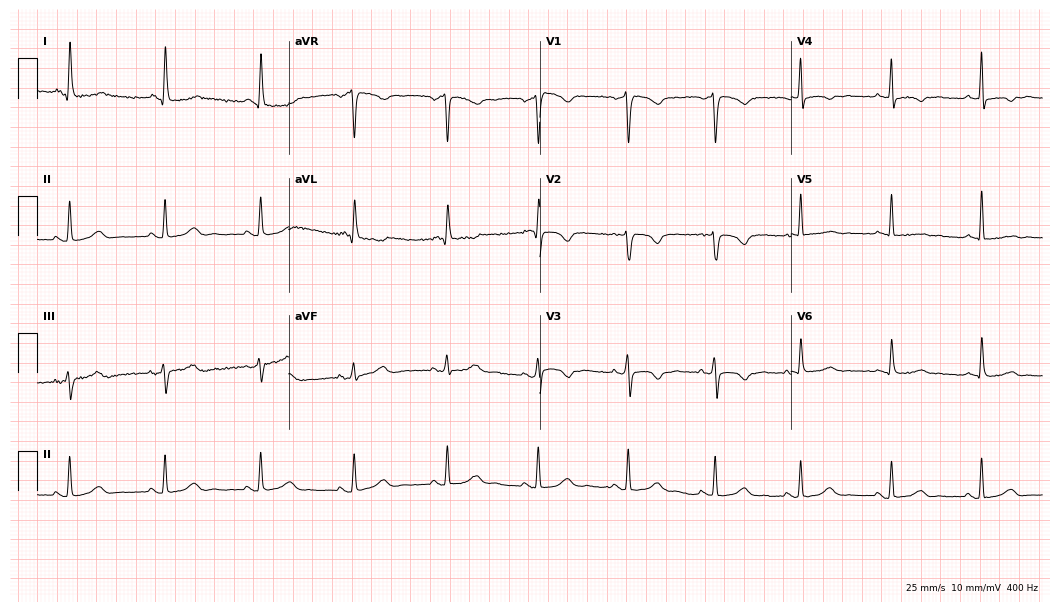
ECG (10.2-second recording at 400 Hz) — a female, 54 years old. Screened for six findings — first-degree AV block, right bundle branch block, left bundle branch block, sinus bradycardia, atrial fibrillation, sinus tachycardia — none is recorded.